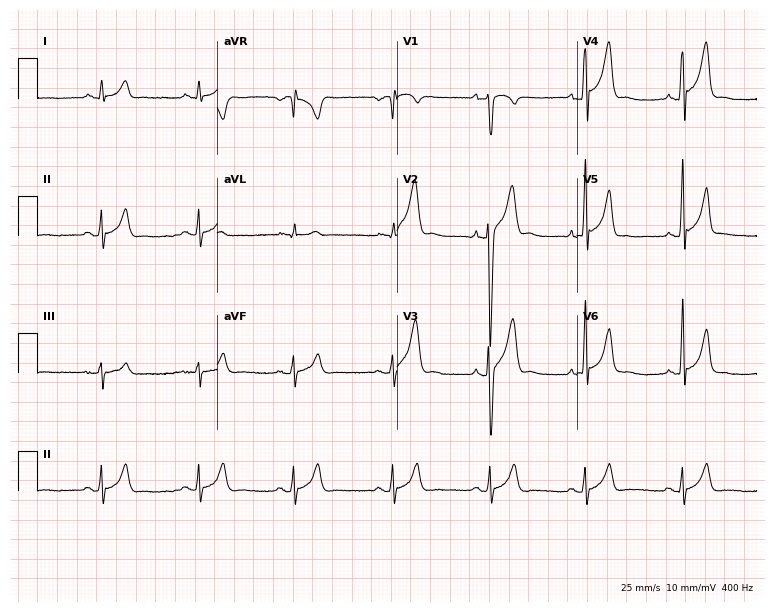
ECG — a 22-year-old man. Labelled as a normal ECG.